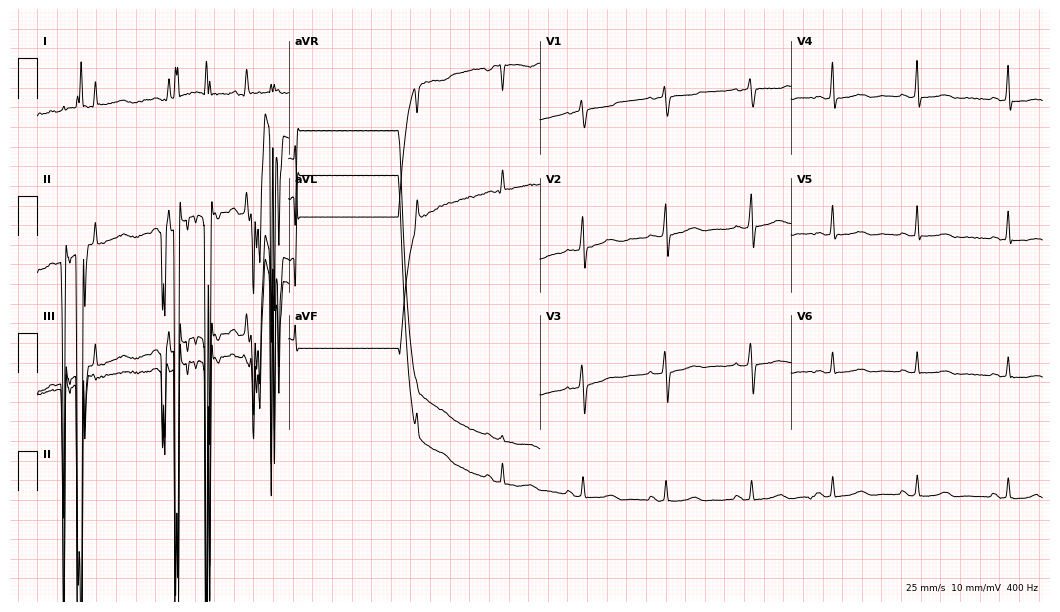
ECG — a 39-year-old woman. Screened for six findings — first-degree AV block, right bundle branch block, left bundle branch block, sinus bradycardia, atrial fibrillation, sinus tachycardia — none is recorded. Other findings, if any, are not listed.